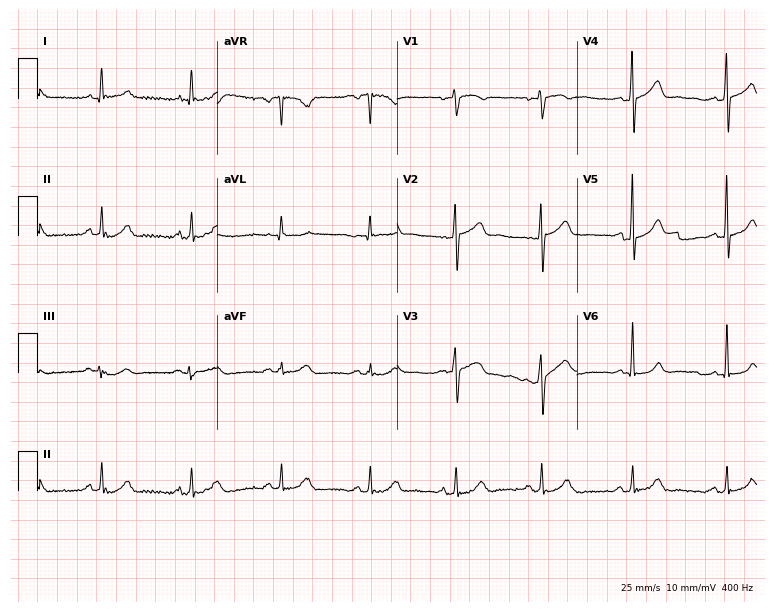
Electrocardiogram, a male, 65 years old. Overall reading on record: normal ECG.